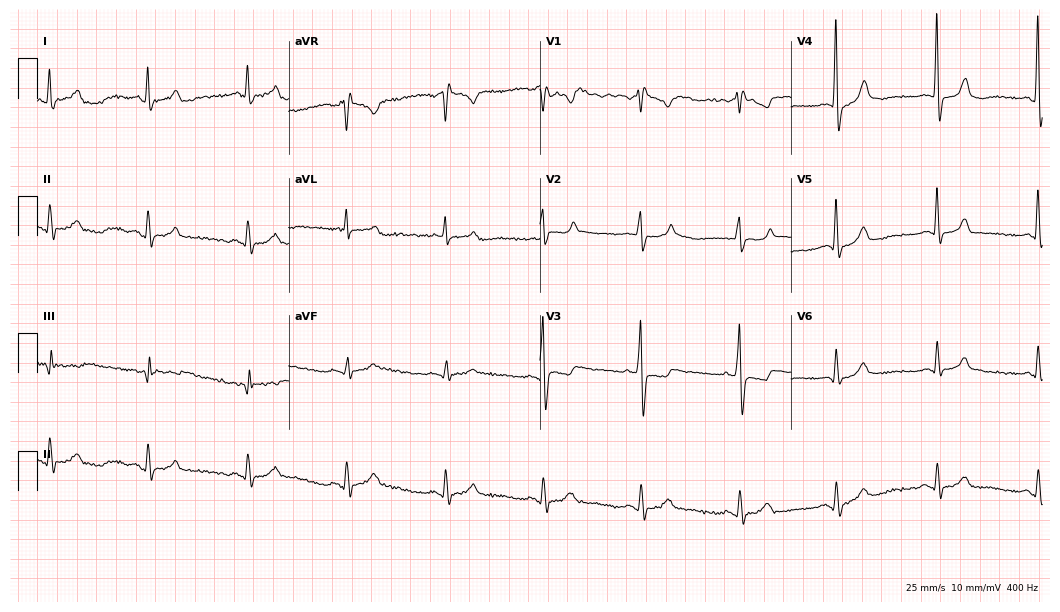
ECG (10.2-second recording at 400 Hz) — a 59-year-old man. Screened for six findings — first-degree AV block, right bundle branch block, left bundle branch block, sinus bradycardia, atrial fibrillation, sinus tachycardia — none is recorded.